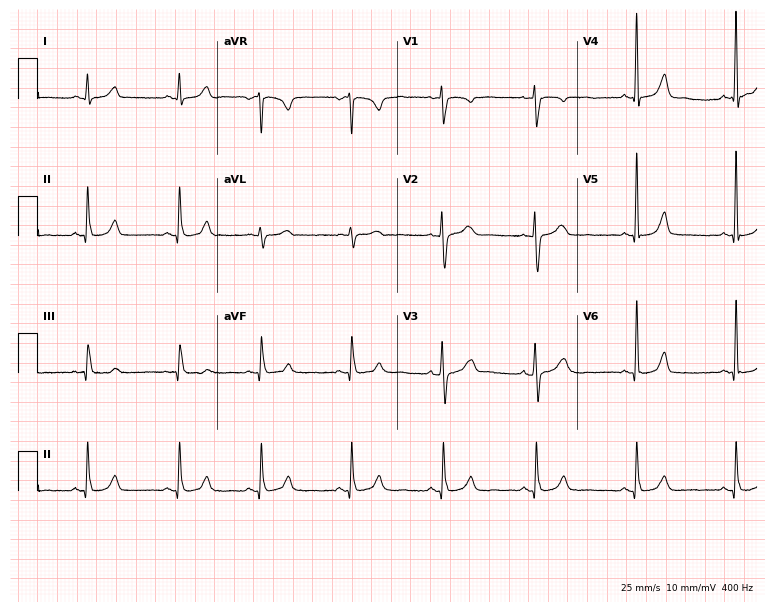
Electrocardiogram (7.3-second recording at 400 Hz), a 36-year-old female. Of the six screened findings (first-degree AV block, right bundle branch block (RBBB), left bundle branch block (LBBB), sinus bradycardia, atrial fibrillation (AF), sinus tachycardia), none is recorded.